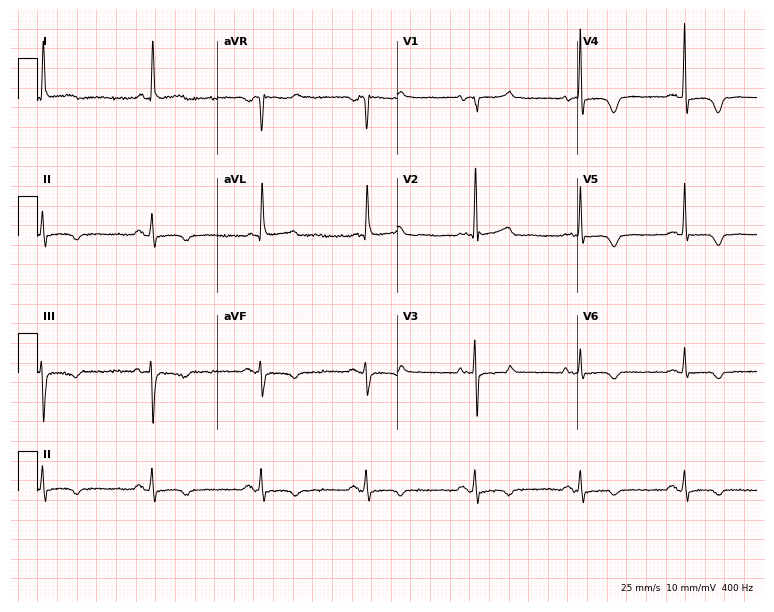
Standard 12-lead ECG recorded from a woman, 73 years old (7.3-second recording at 400 Hz). Read as a normal ECG.